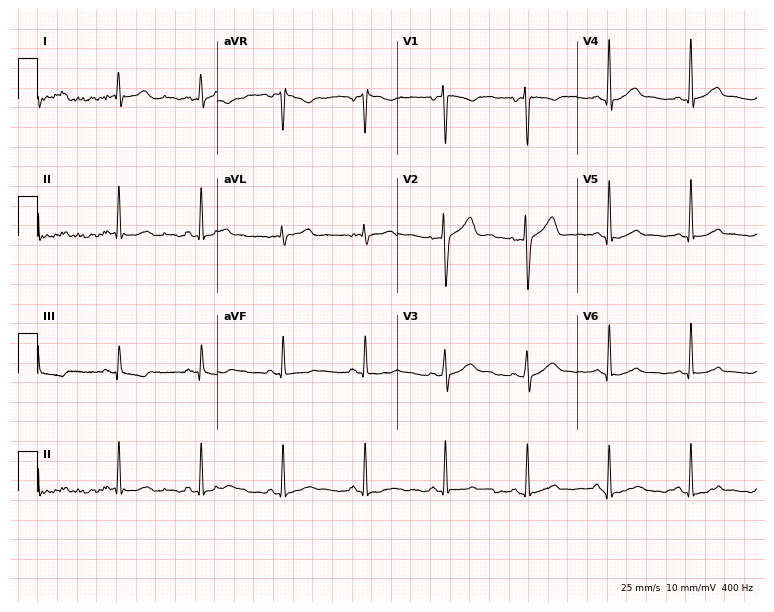
ECG (7.3-second recording at 400 Hz) — a 30-year-old male patient. Labelled as a normal ECG.